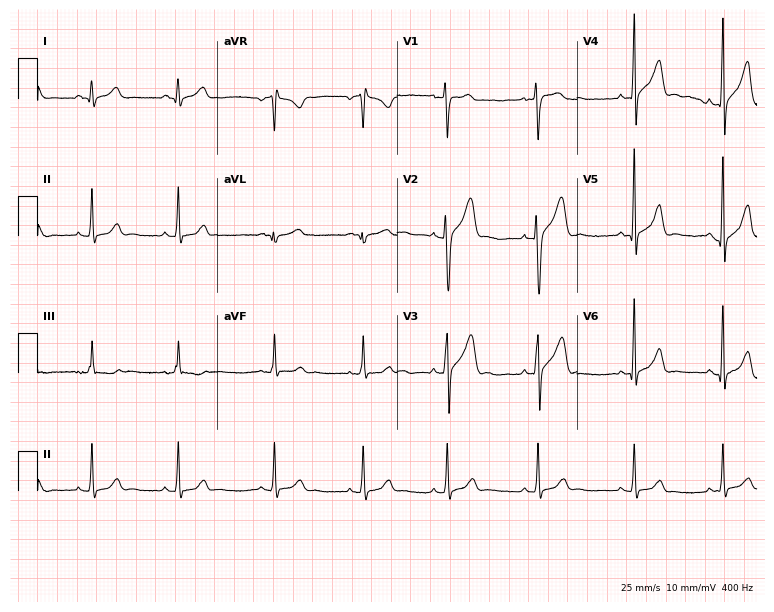
Electrocardiogram, a man, 24 years old. Overall reading on record: normal ECG.